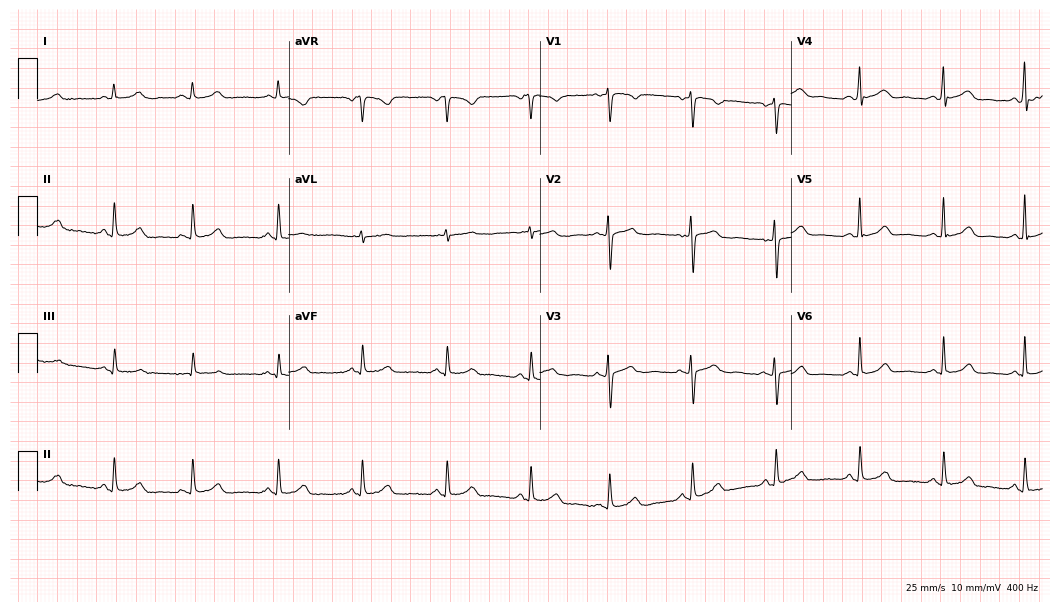
12-lead ECG (10.2-second recording at 400 Hz) from a 38-year-old female. Labelled as a normal ECG.